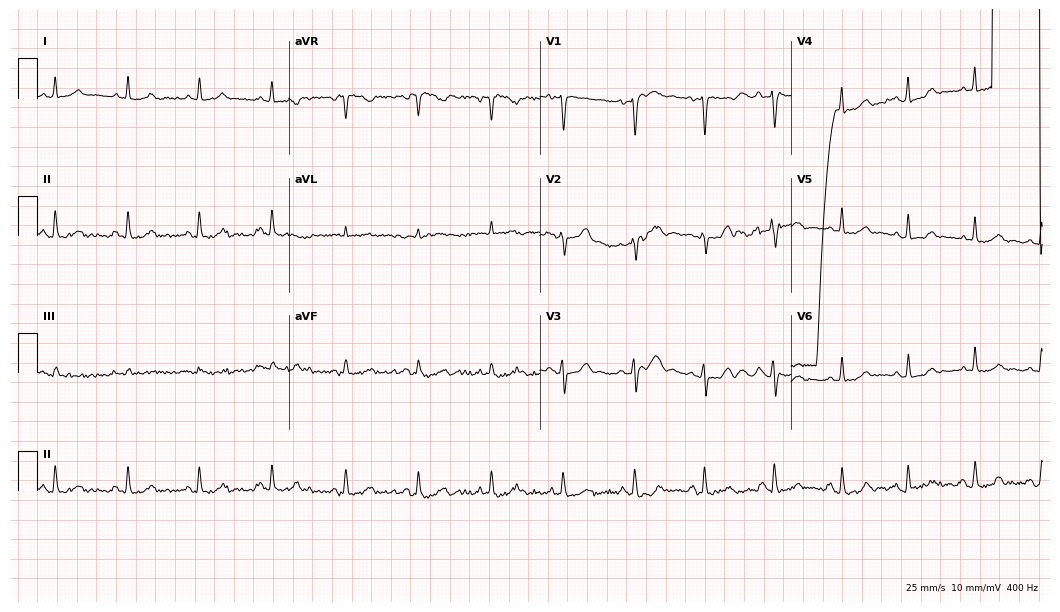
12-lead ECG from a 39-year-old female patient. Screened for six findings — first-degree AV block, right bundle branch block (RBBB), left bundle branch block (LBBB), sinus bradycardia, atrial fibrillation (AF), sinus tachycardia — none is recorded. Only these six findings were labelled.